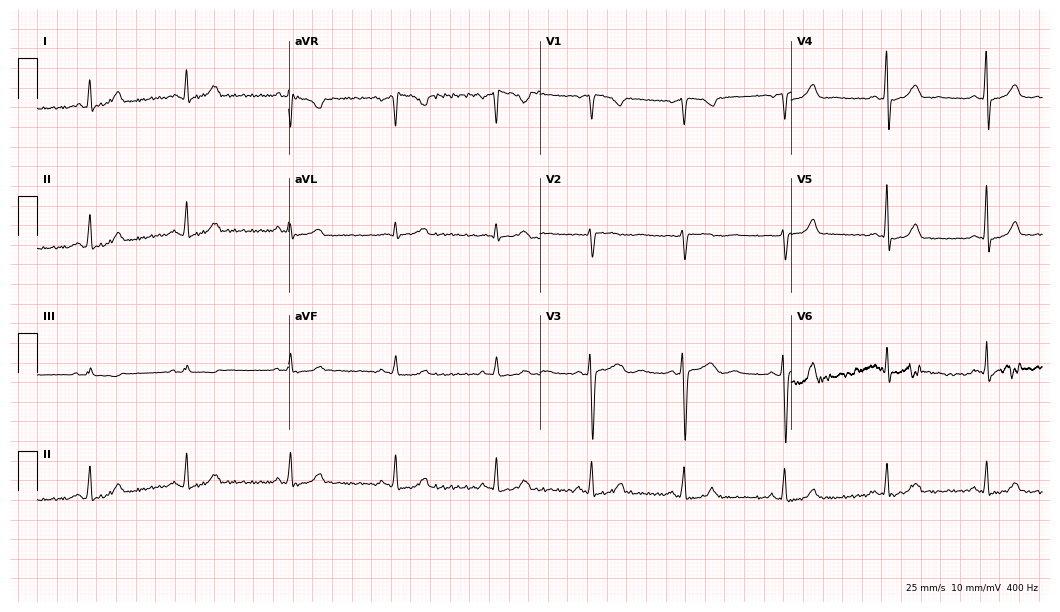
ECG (10.2-second recording at 400 Hz) — a 28-year-old woman. Labelled as a normal ECG.